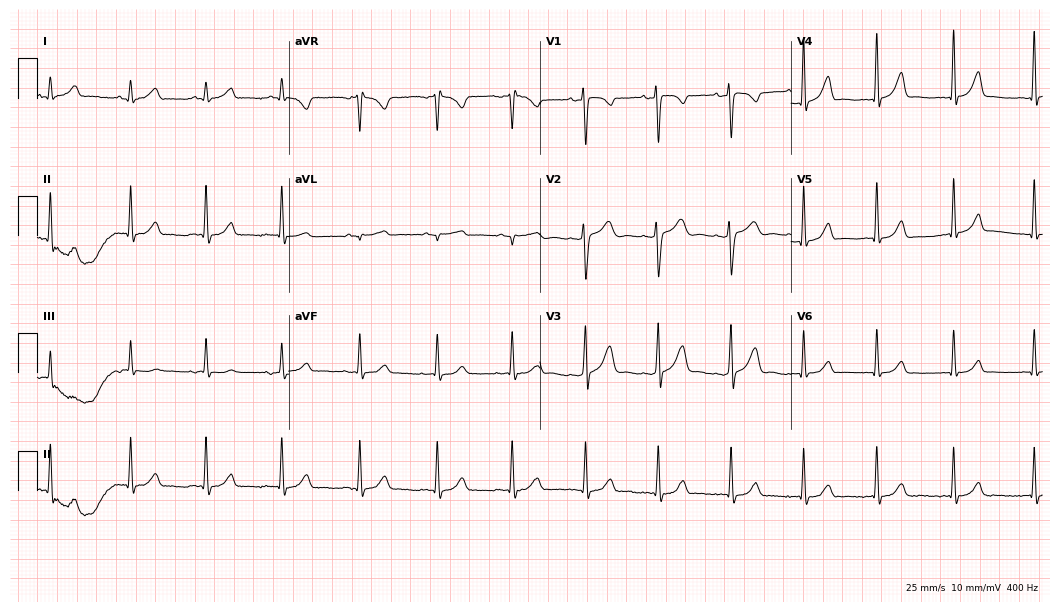
12-lead ECG from a female patient, 28 years old. Labelled as a normal ECG.